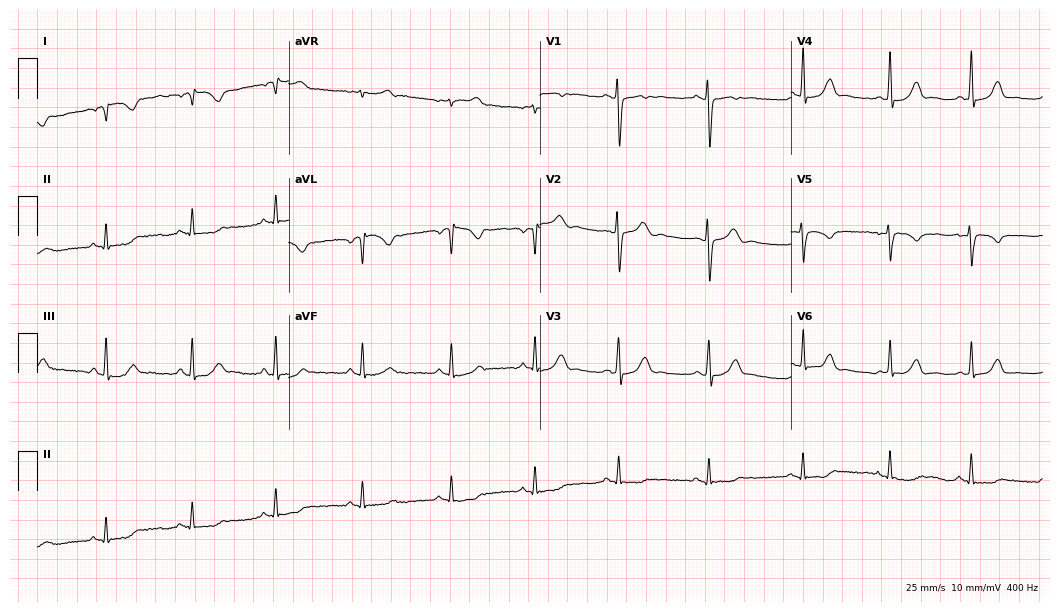
Resting 12-lead electrocardiogram (10.2-second recording at 400 Hz). Patient: a female, 29 years old. None of these six findings is recorded: first-degree AV block, right bundle branch block, left bundle branch block, sinus bradycardia, atrial fibrillation, sinus tachycardia. Only these six findings were labelled.